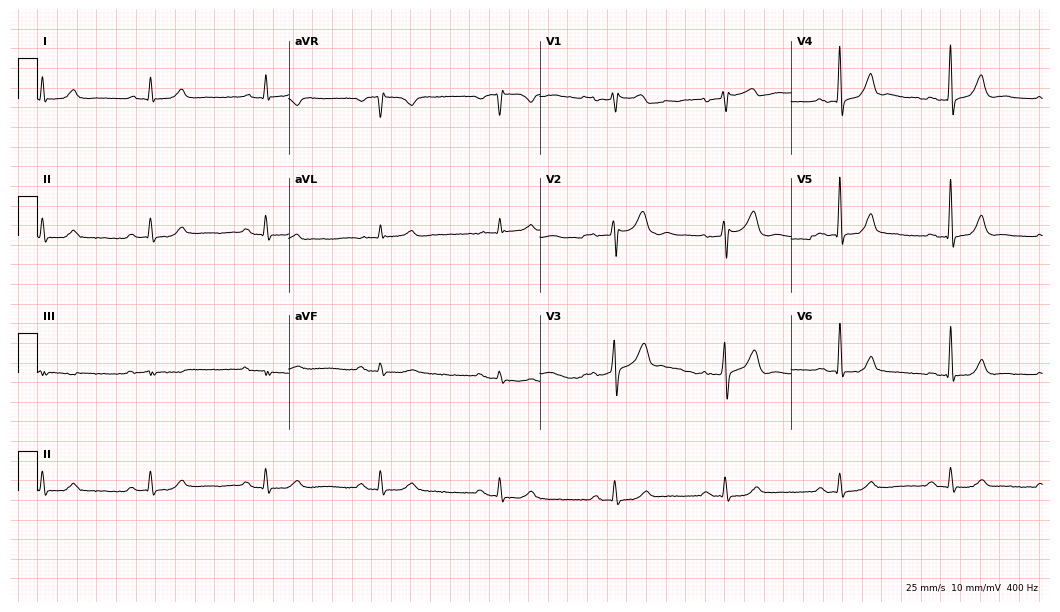
Electrocardiogram (10.2-second recording at 400 Hz), a 62-year-old male patient. Overall reading on record: normal ECG.